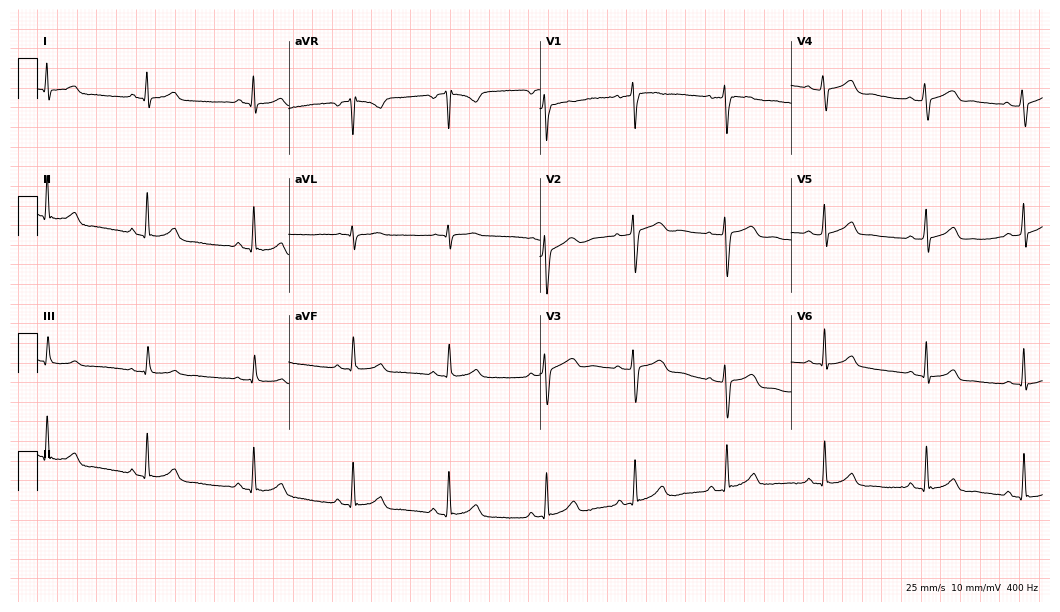
Resting 12-lead electrocardiogram (10.2-second recording at 400 Hz). Patient: a female, 27 years old. Read as a normal ECG.